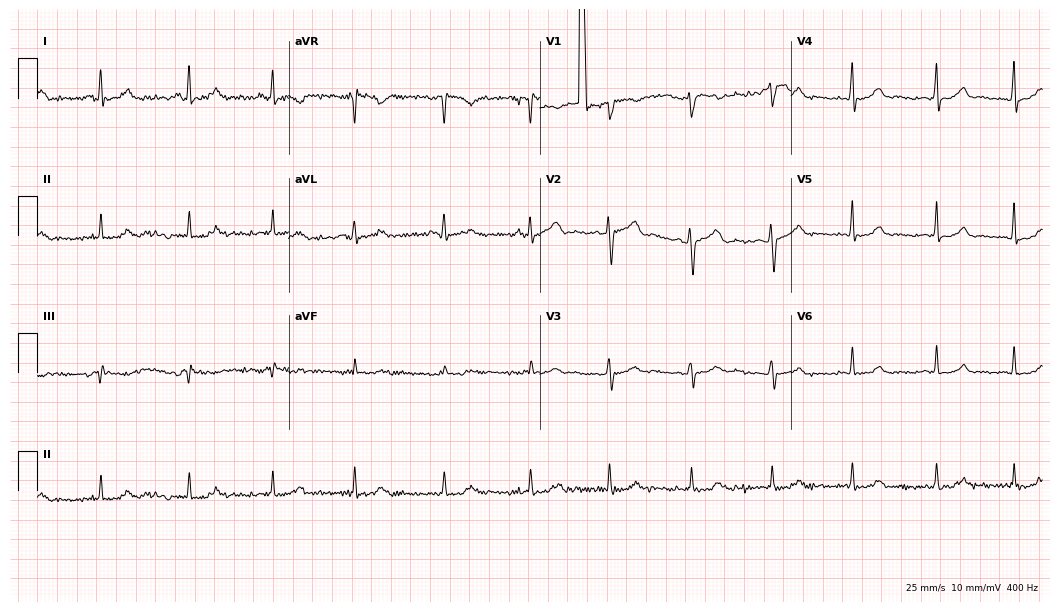
12-lead ECG from a woman, 28 years old. Labelled as a normal ECG.